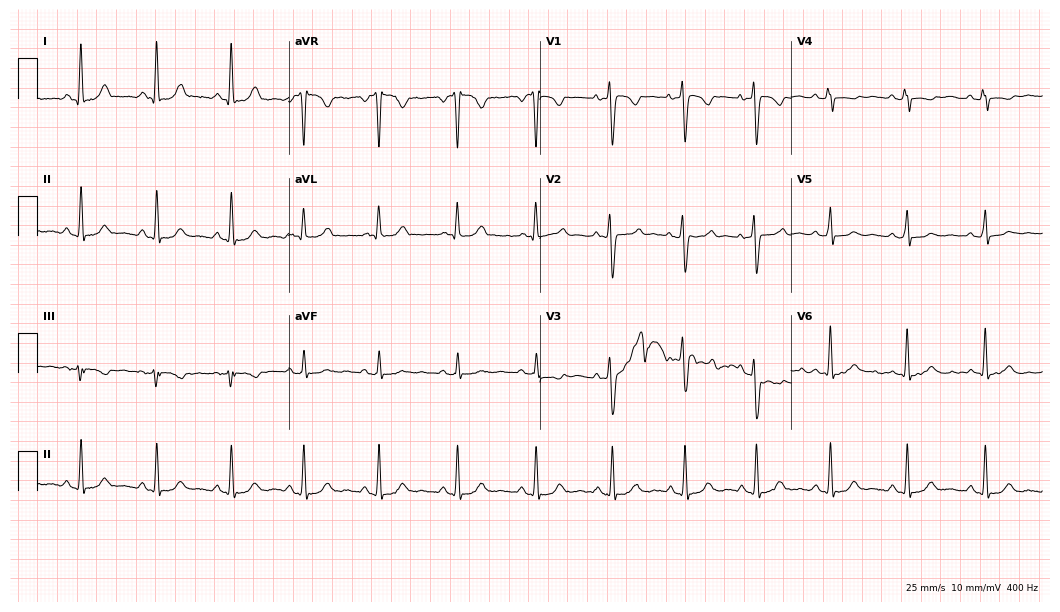
12-lead ECG from a female patient, 28 years old. Screened for six findings — first-degree AV block, right bundle branch block, left bundle branch block, sinus bradycardia, atrial fibrillation, sinus tachycardia — none is recorded. Findings outside these six are not listed.